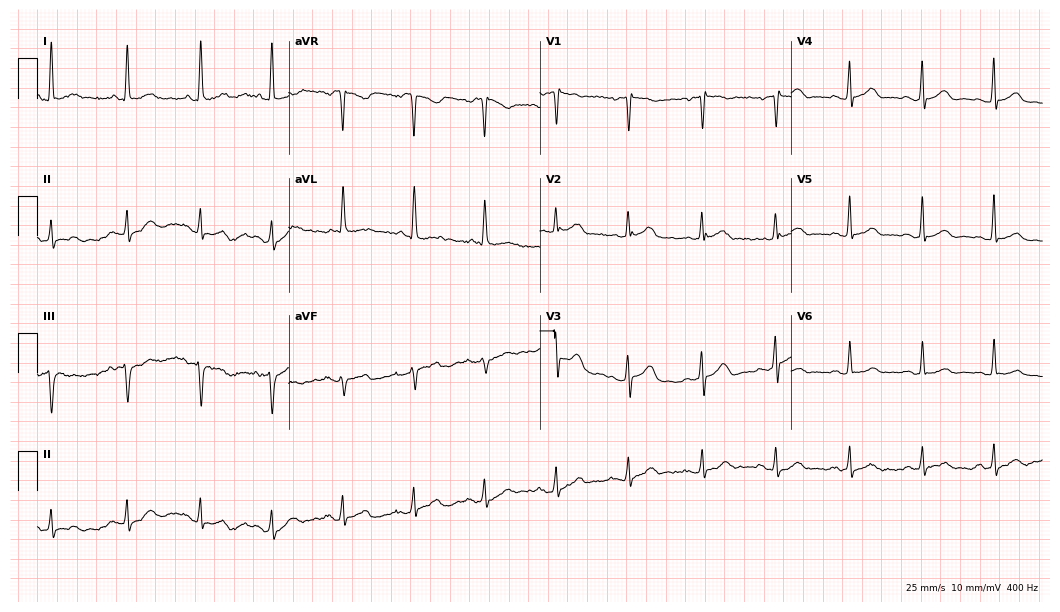
12-lead ECG from a 47-year-old male patient. Labelled as a normal ECG.